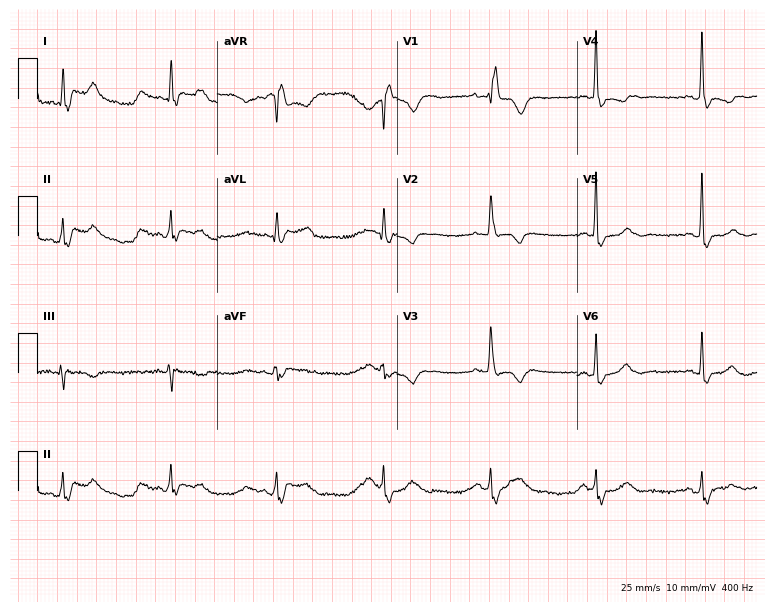
ECG — a female patient, 51 years old. Findings include right bundle branch block.